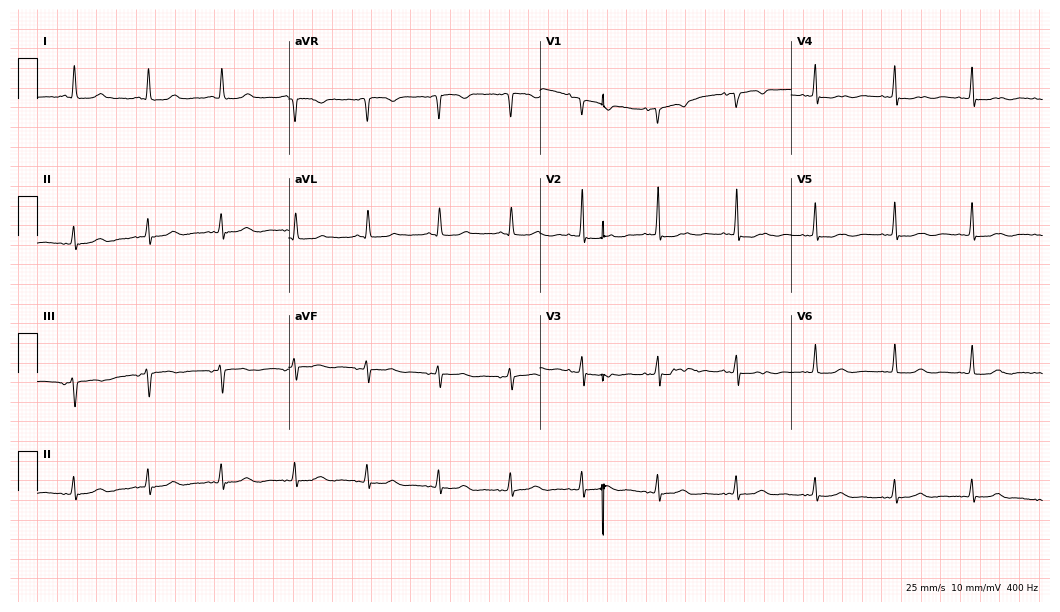
Resting 12-lead electrocardiogram. Patient: a 68-year-old female. Read as a normal ECG.